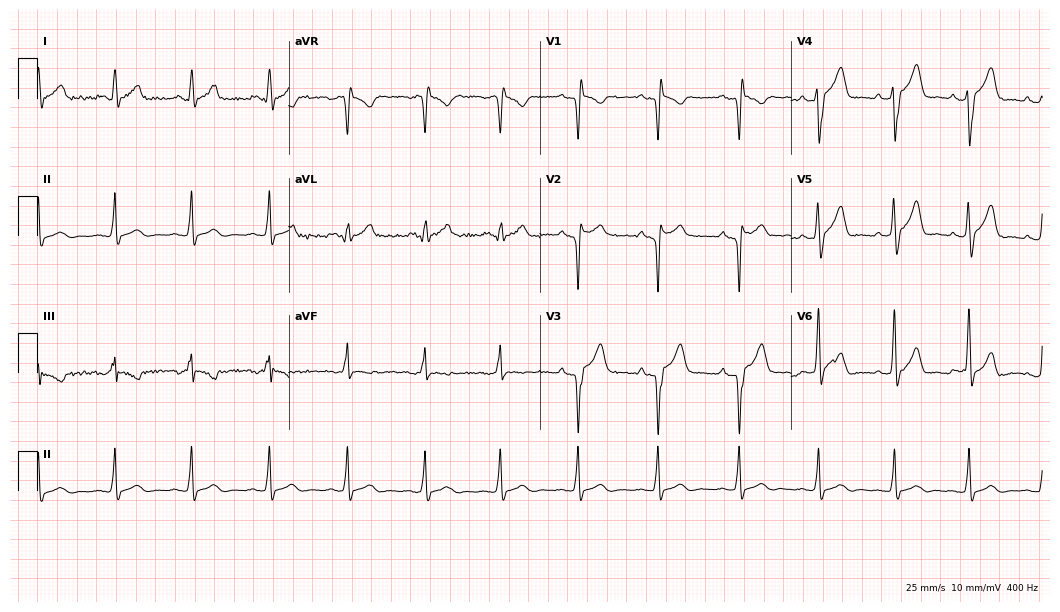
Resting 12-lead electrocardiogram (10.2-second recording at 400 Hz). Patient: a 23-year-old male. None of these six findings is recorded: first-degree AV block, right bundle branch block (RBBB), left bundle branch block (LBBB), sinus bradycardia, atrial fibrillation (AF), sinus tachycardia. Findings outside these six are not listed.